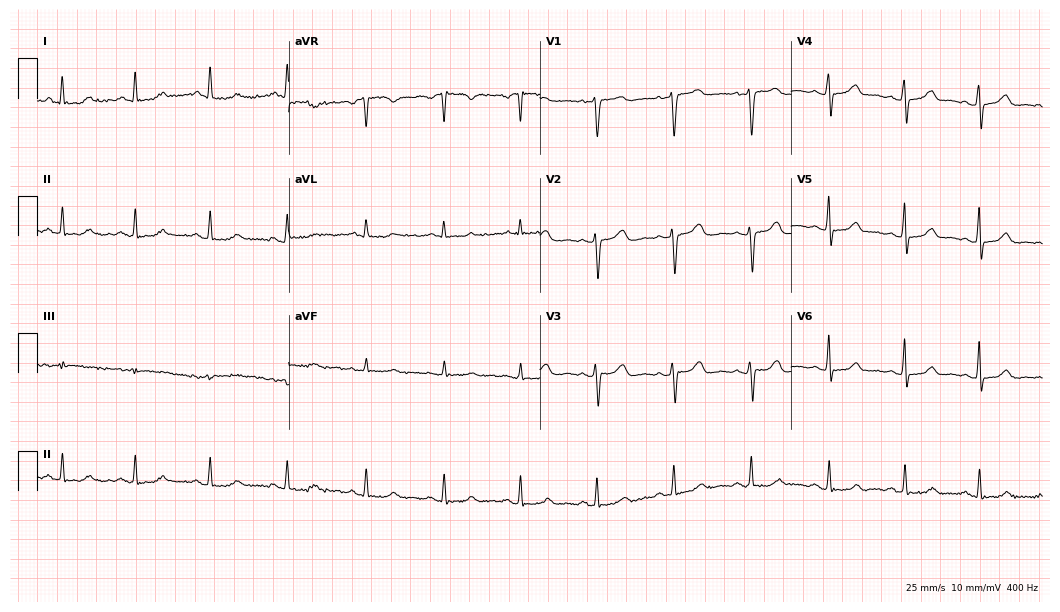
Resting 12-lead electrocardiogram (10.2-second recording at 400 Hz). Patient: a 56-year-old female. None of these six findings is recorded: first-degree AV block, right bundle branch block (RBBB), left bundle branch block (LBBB), sinus bradycardia, atrial fibrillation (AF), sinus tachycardia. Other findings, if any, are not listed.